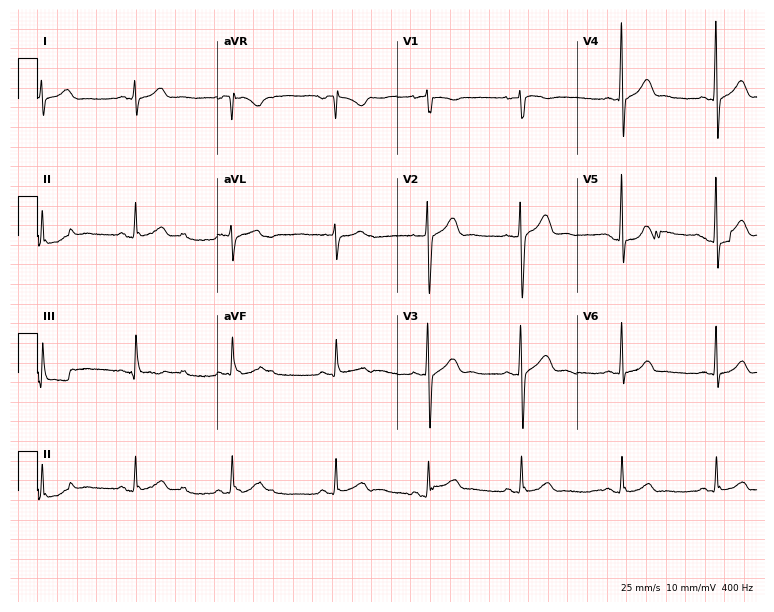
Standard 12-lead ECG recorded from a 24-year-old male. None of these six findings is recorded: first-degree AV block, right bundle branch block, left bundle branch block, sinus bradycardia, atrial fibrillation, sinus tachycardia. Findings outside these six are not listed.